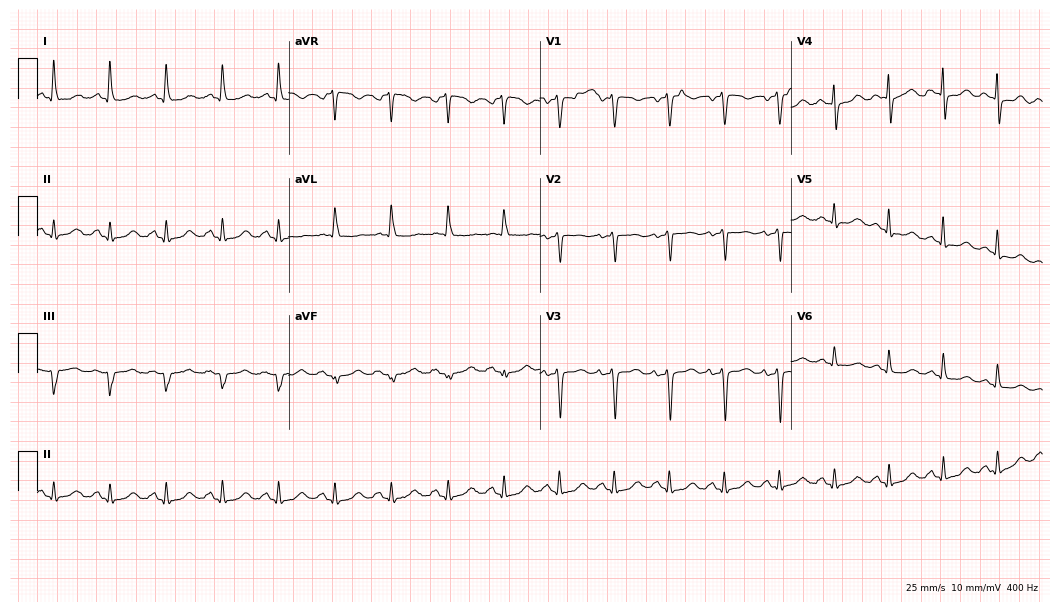
Resting 12-lead electrocardiogram (10.2-second recording at 400 Hz). Patient: a 67-year-old female. The tracing shows sinus tachycardia (a sinus rate of 100 beats per minute or more).